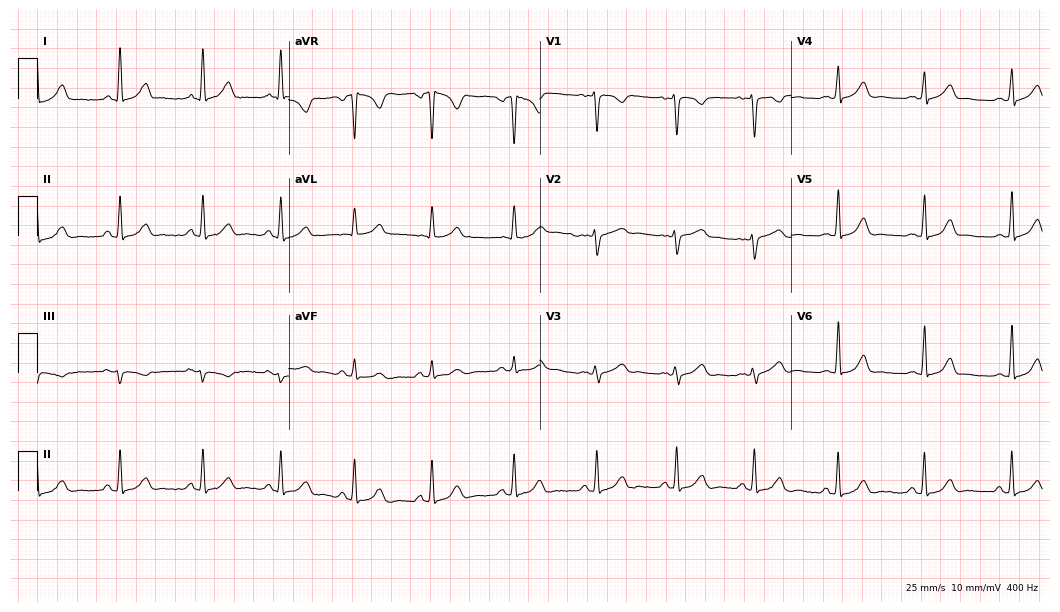
ECG (10.2-second recording at 400 Hz) — a female, 22 years old. Labelled as a normal ECG.